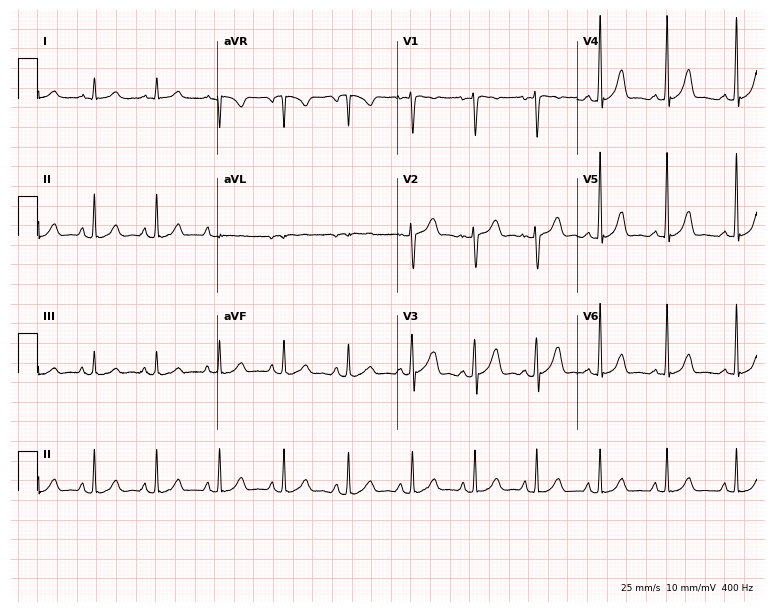
Standard 12-lead ECG recorded from a 28-year-old female. Read as a normal ECG.